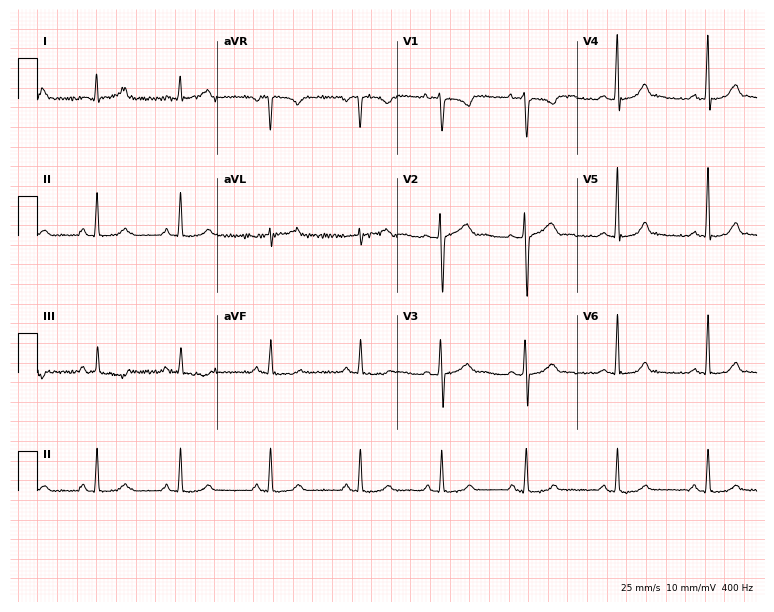
Resting 12-lead electrocardiogram (7.3-second recording at 400 Hz). Patient: a 28-year-old woman. None of these six findings is recorded: first-degree AV block, right bundle branch block, left bundle branch block, sinus bradycardia, atrial fibrillation, sinus tachycardia.